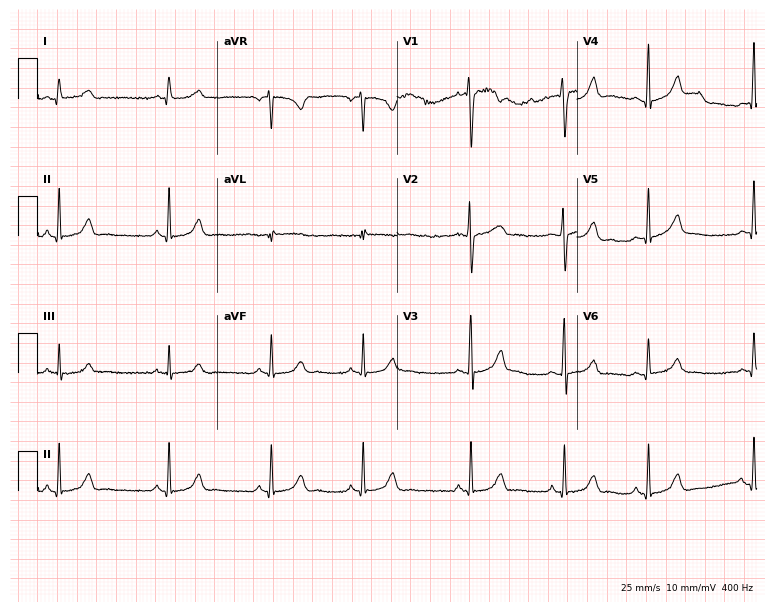
Standard 12-lead ECG recorded from a female, 25 years old. Read as a normal ECG.